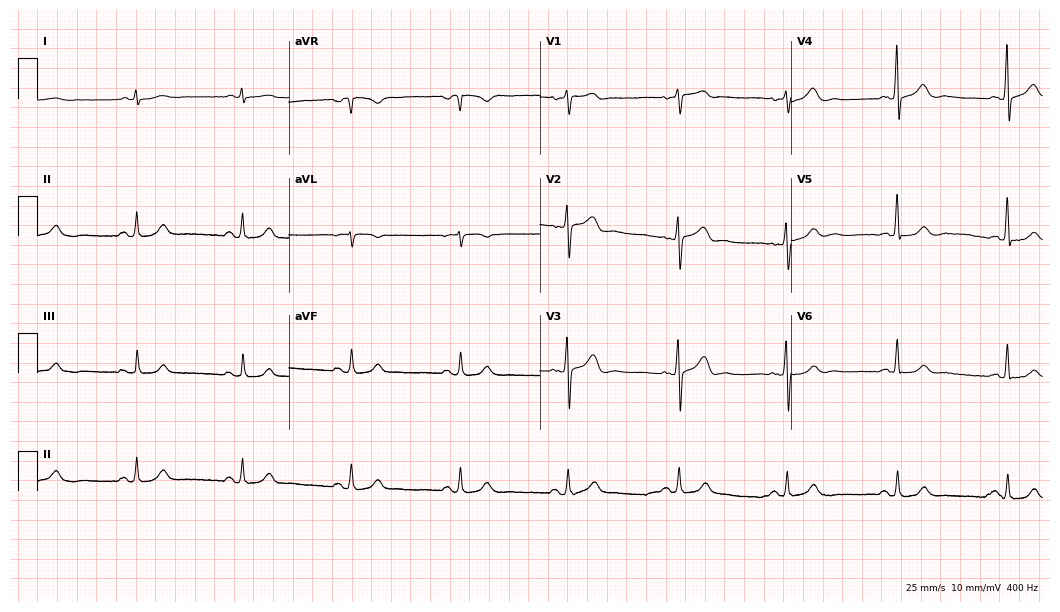
12-lead ECG from a male patient, 69 years old (10.2-second recording at 400 Hz). Recorded interpretation: within normal limits.